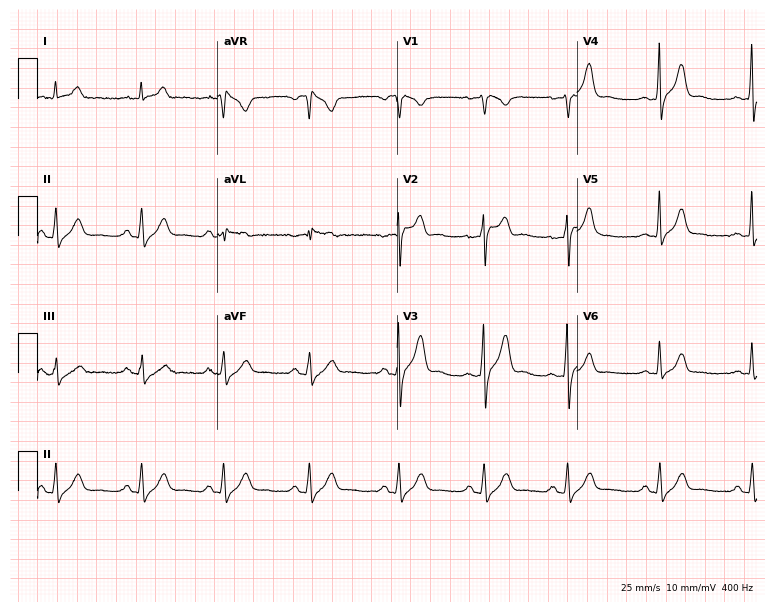
Electrocardiogram, a 44-year-old male patient. Overall reading on record: normal ECG.